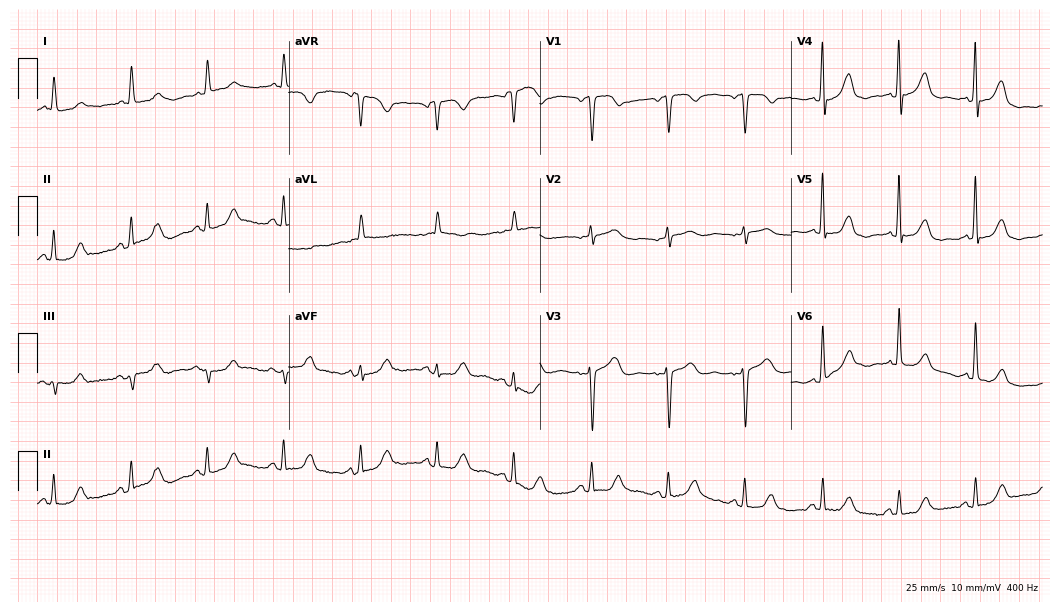
Resting 12-lead electrocardiogram. Patient: a female, 73 years old. Read as a normal ECG.